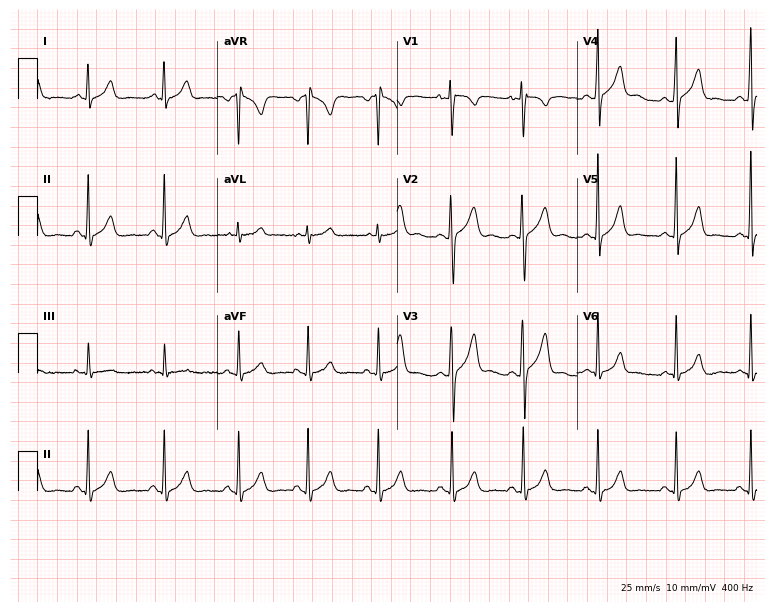
ECG — a 20-year-old female patient. Labelled as a normal ECG.